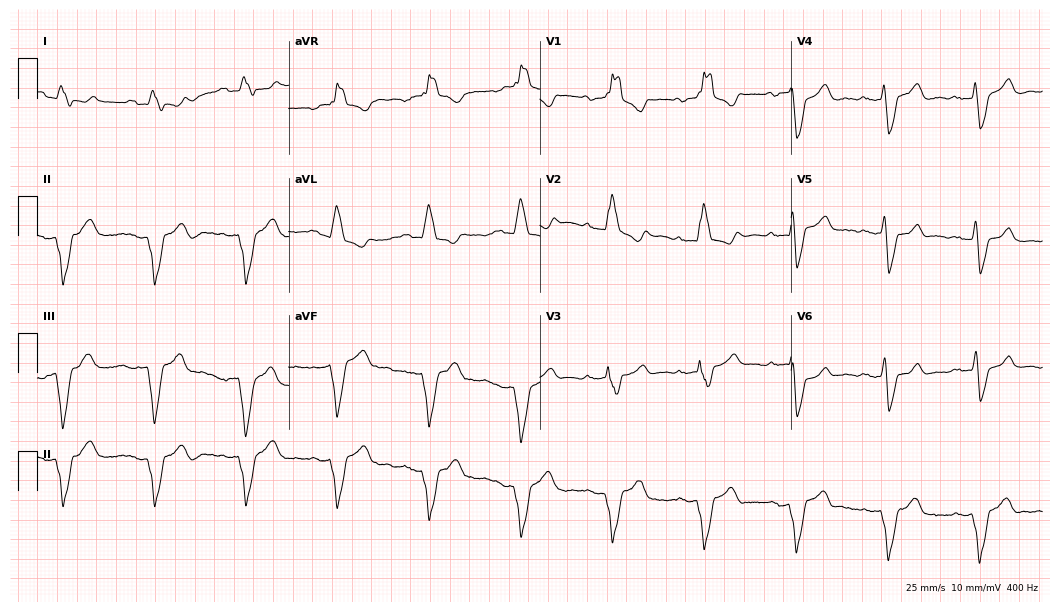
Standard 12-lead ECG recorded from a male, 46 years old. None of these six findings is recorded: first-degree AV block, right bundle branch block (RBBB), left bundle branch block (LBBB), sinus bradycardia, atrial fibrillation (AF), sinus tachycardia.